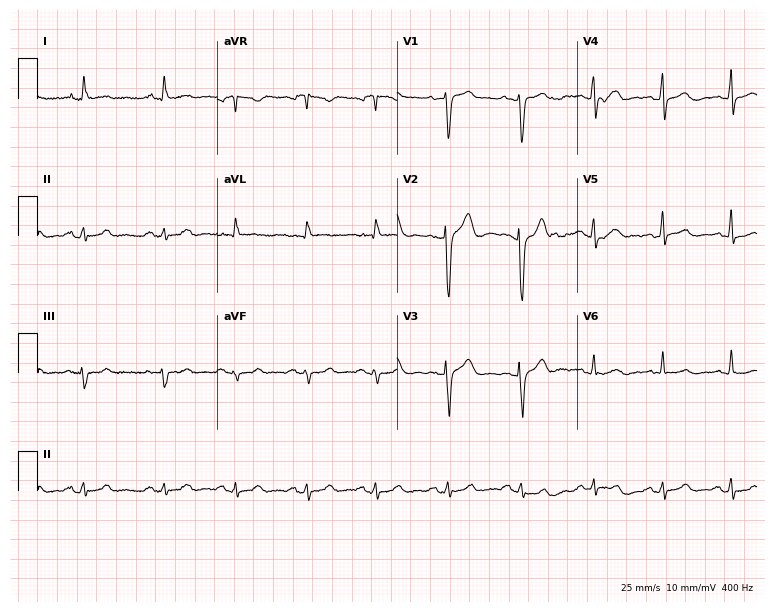
ECG (7.3-second recording at 400 Hz) — a man, 34 years old. Screened for six findings — first-degree AV block, right bundle branch block, left bundle branch block, sinus bradycardia, atrial fibrillation, sinus tachycardia — none is recorded.